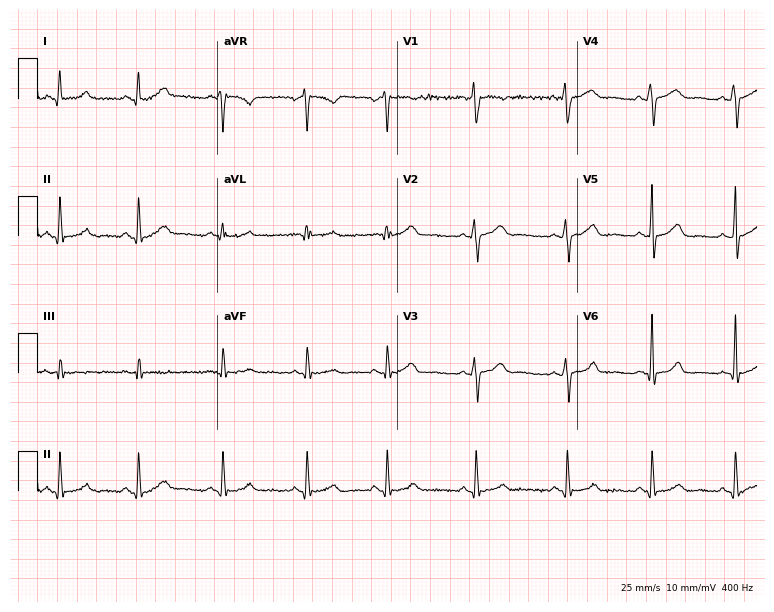
Electrocardiogram (7.3-second recording at 400 Hz), a 27-year-old woman. Overall reading on record: normal ECG.